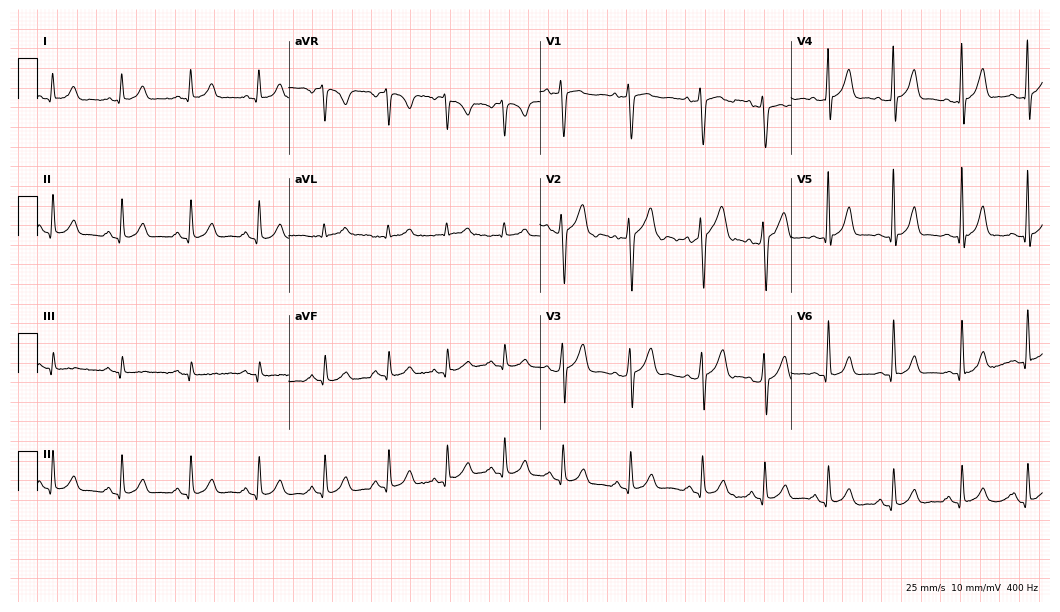
12-lead ECG from a 25-year-old male. No first-degree AV block, right bundle branch block, left bundle branch block, sinus bradycardia, atrial fibrillation or sinus tachycardia recorded for this tracing. Findings outside these six are not listed.